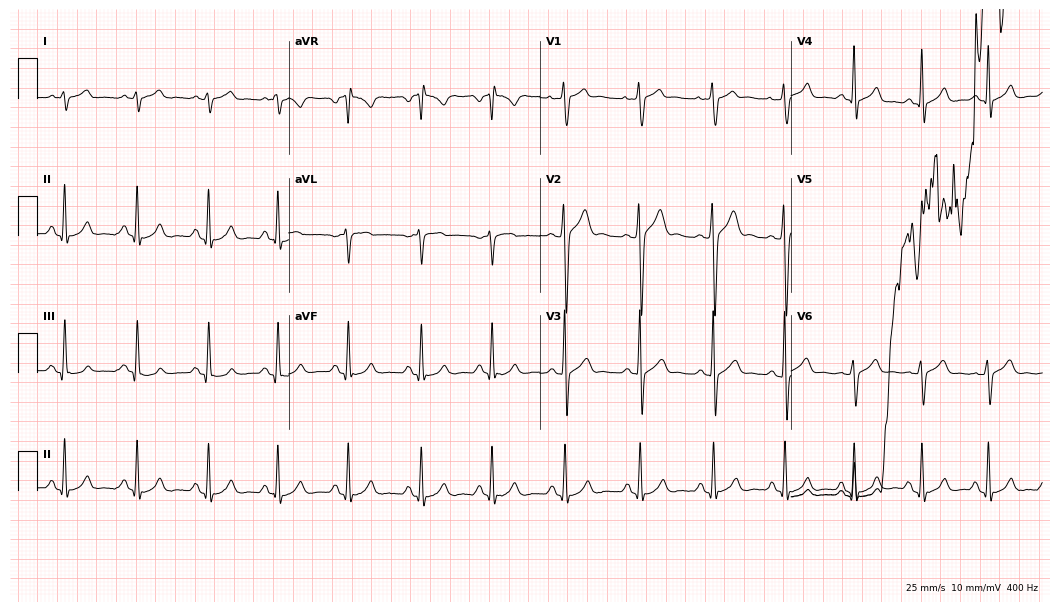
Resting 12-lead electrocardiogram (10.2-second recording at 400 Hz). Patient: a male, 20 years old. None of these six findings is recorded: first-degree AV block, right bundle branch block, left bundle branch block, sinus bradycardia, atrial fibrillation, sinus tachycardia.